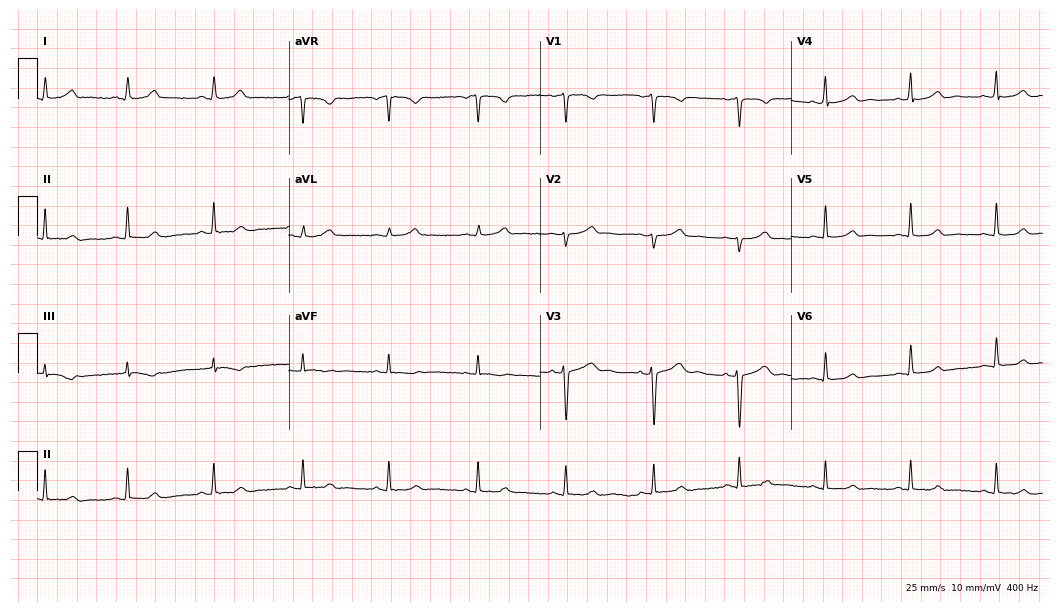
Standard 12-lead ECG recorded from a female patient, 39 years old (10.2-second recording at 400 Hz). Read as a normal ECG.